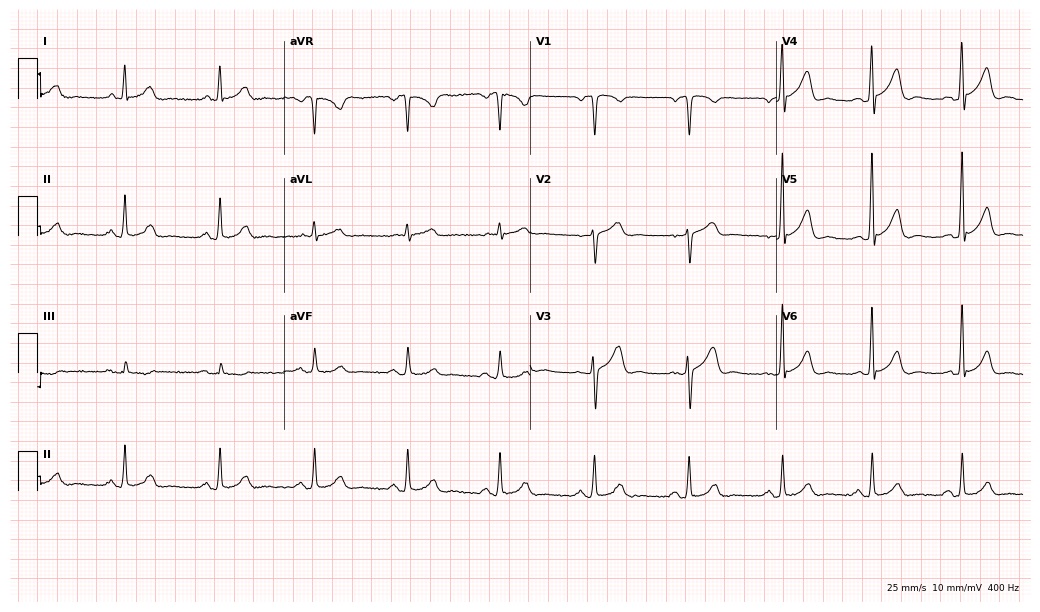
12-lead ECG from a male patient, 50 years old. No first-degree AV block, right bundle branch block (RBBB), left bundle branch block (LBBB), sinus bradycardia, atrial fibrillation (AF) or sinus tachycardia recorded for this tracing. Findings outside these six are not listed.